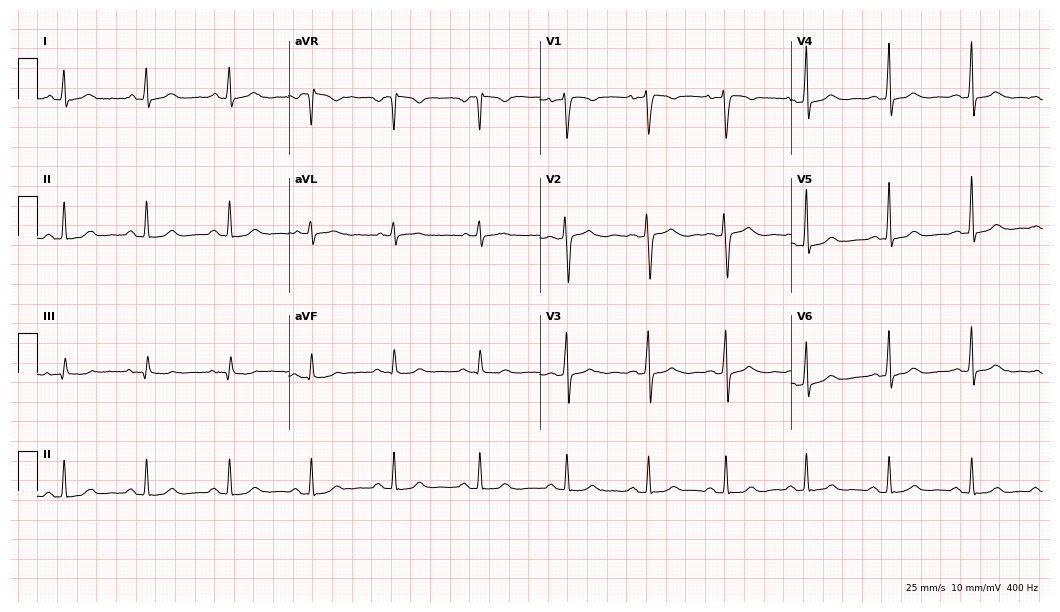
12-lead ECG (10.2-second recording at 400 Hz) from a 37-year-old female. Labelled as a normal ECG.